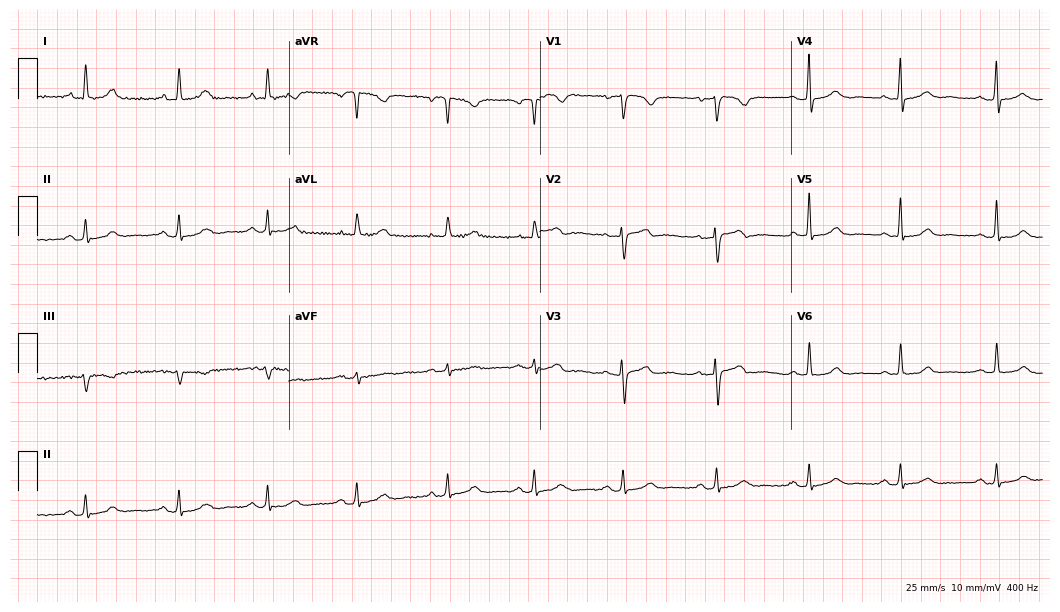
Standard 12-lead ECG recorded from a 59-year-old female patient (10.2-second recording at 400 Hz). Read as a normal ECG.